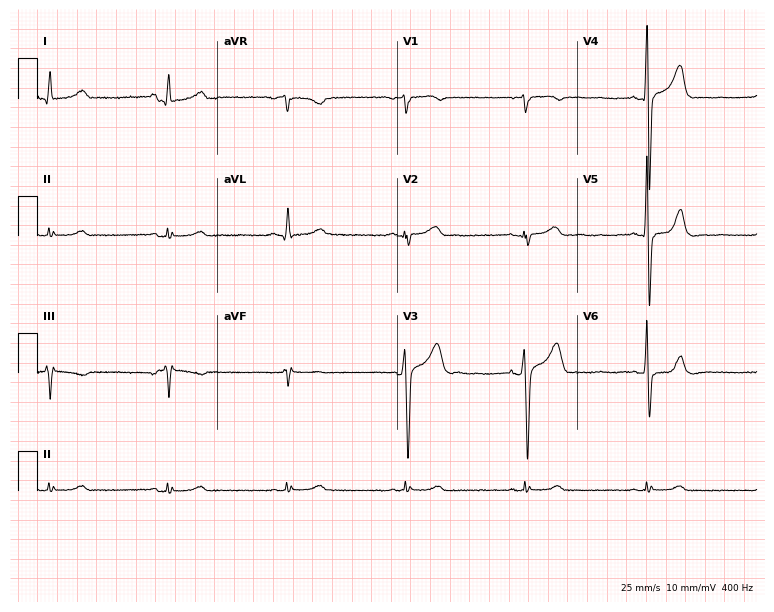
12-lead ECG from a 61-year-old male. Findings include sinus bradycardia (a sinus rate of 50 beats per minute or less).